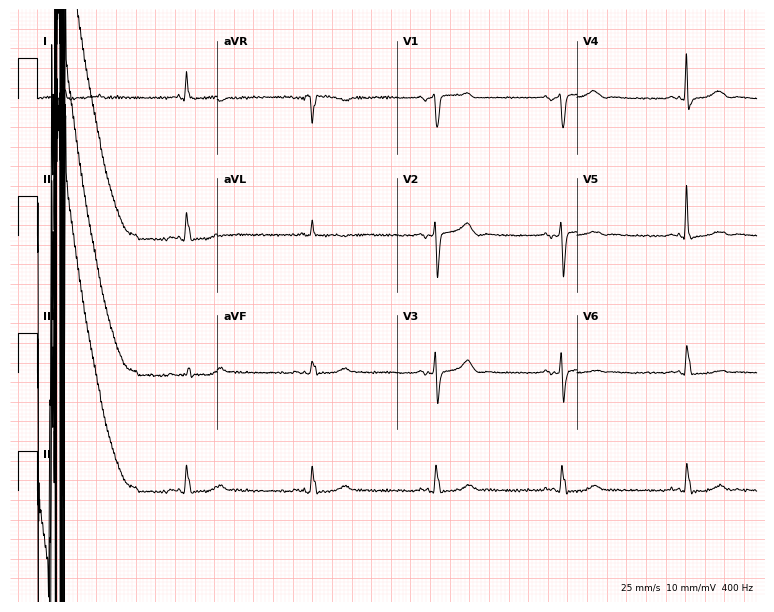
ECG — an 81-year-old female. Screened for six findings — first-degree AV block, right bundle branch block, left bundle branch block, sinus bradycardia, atrial fibrillation, sinus tachycardia — none is recorded.